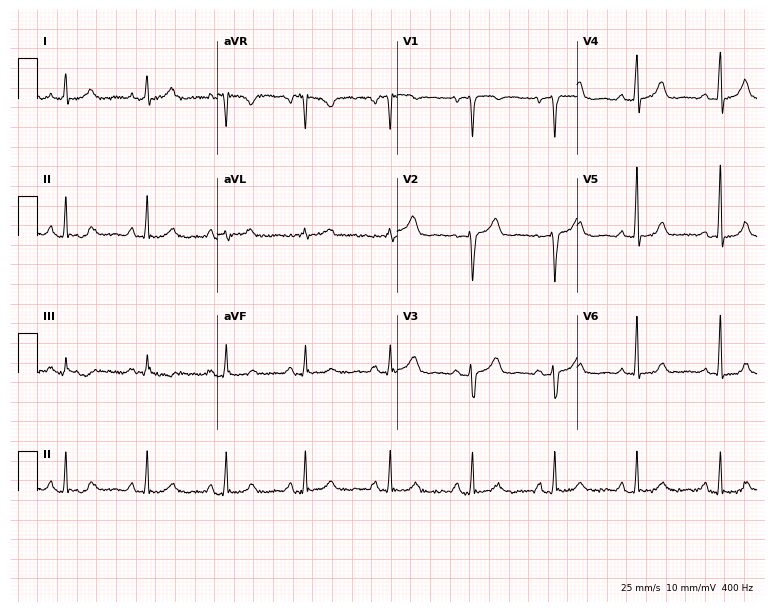
12-lead ECG from a female, 52 years old. Labelled as a normal ECG.